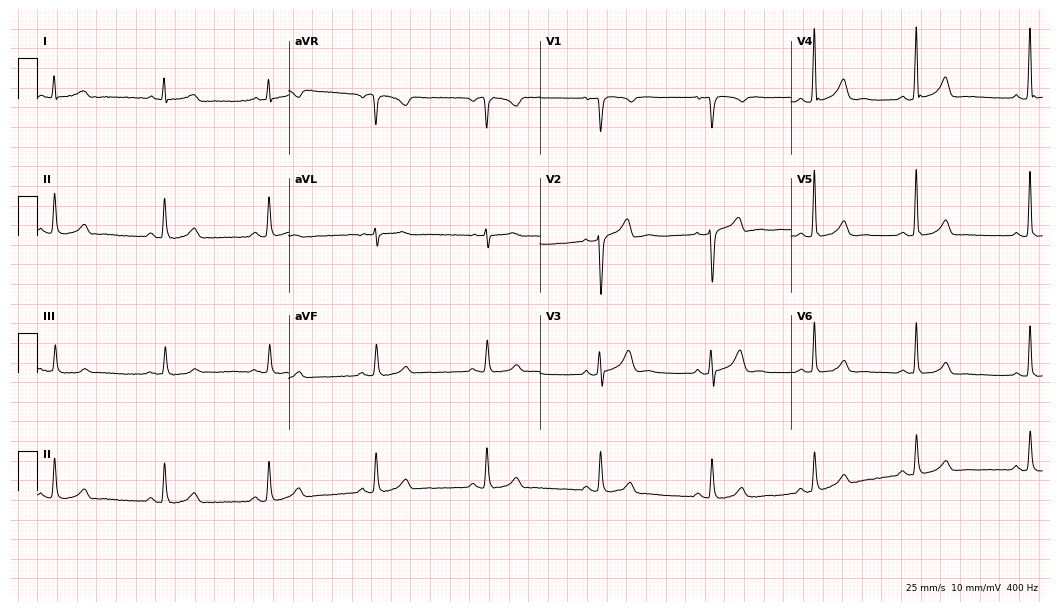
Standard 12-lead ECG recorded from a male patient, 40 years old. Read as a normal ECG.